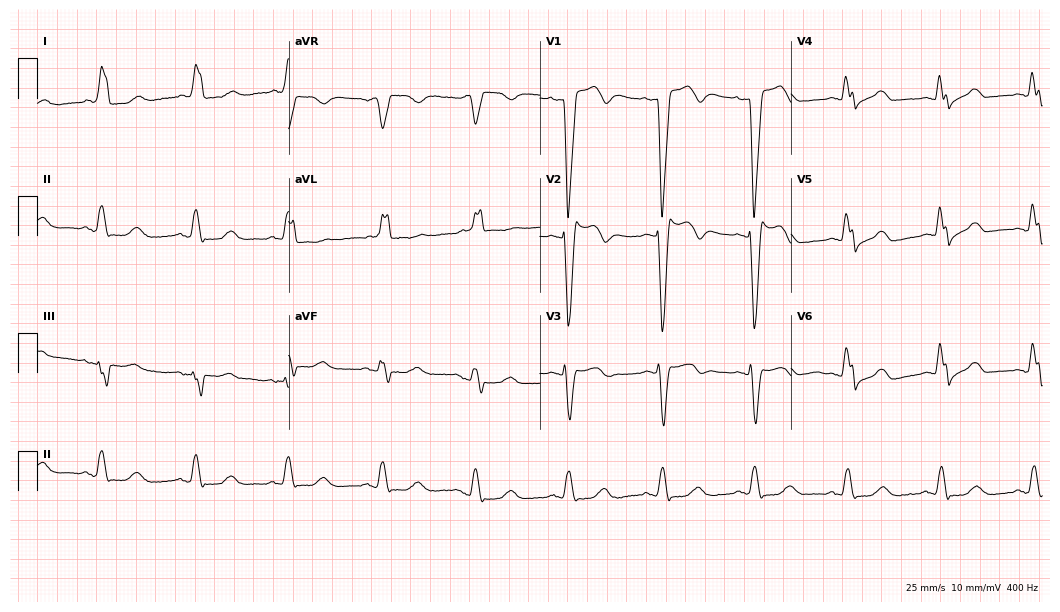
Electrocardiogram (10.2-second recording at 400 Hz), an 83-year-old male patient. Interpretation includes left bundle branch block.